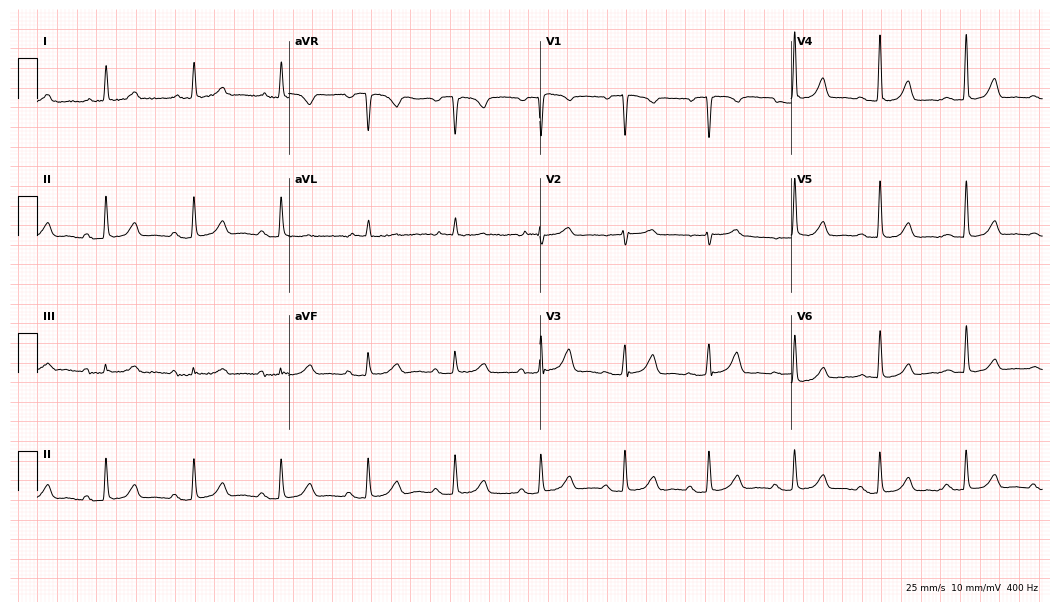
ECG — an 85-year-old male patient. Labelled as a normal ECG.